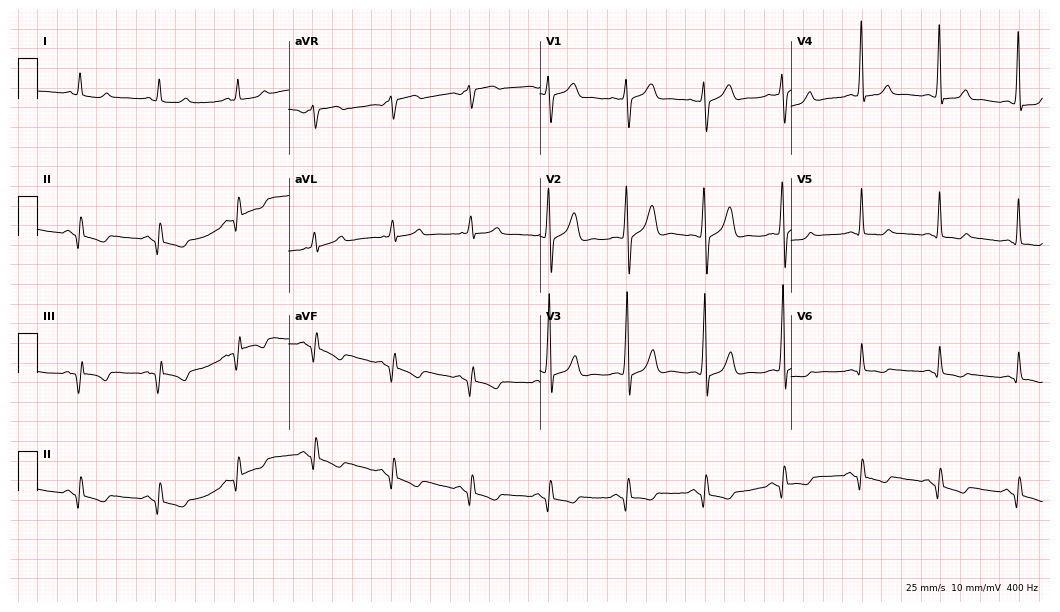
12-lead ECG (10.2-second recording at 400 Hz) from a man, 59 years old. Labelled as a normal ECG.